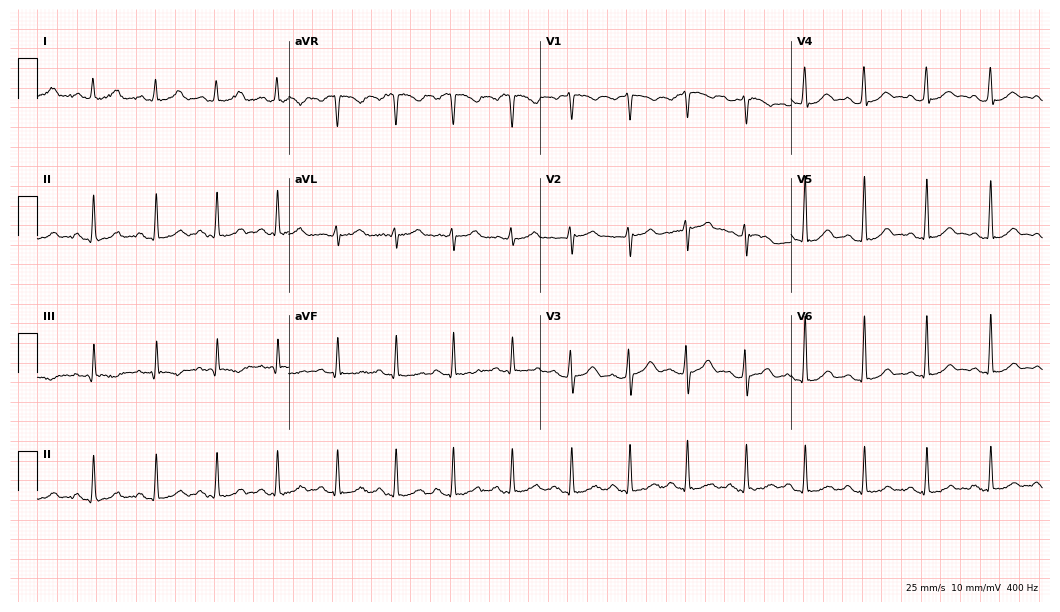
ECG — a 38-year-old female. Labelled as a normal ECG.